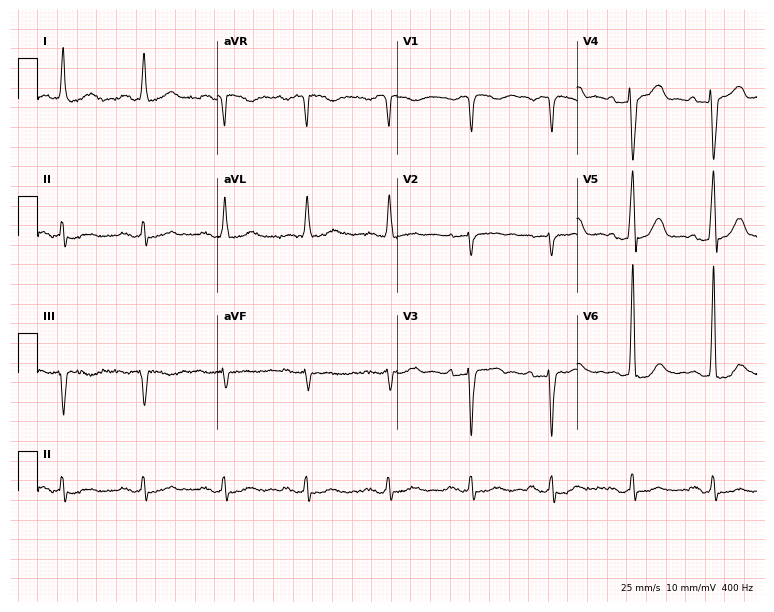
Standard 12-lead ECG recorded from a 67-year-old man. None of these six findings is recorded: first-degree AV block, right bundle branch block (RBBB), left bundle branch block (LBBB), sinus bradycardia, atrial fibrillation (AF), sinus tachycardia.